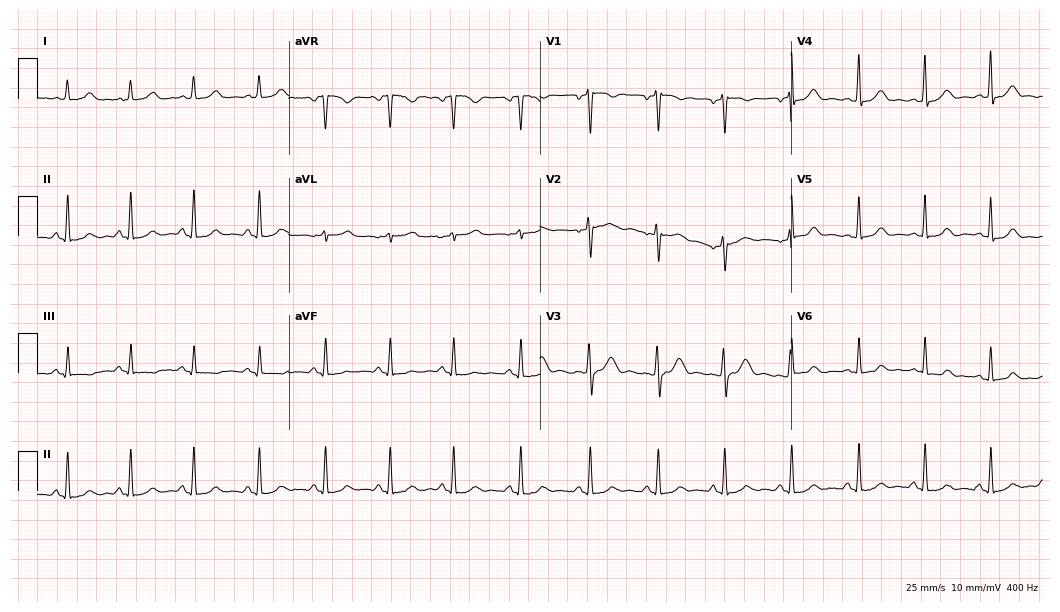
12-lead ECG (10.2-second recording at 400 Hz) from a 27-year-old woman. Labelled as a normal ECG.